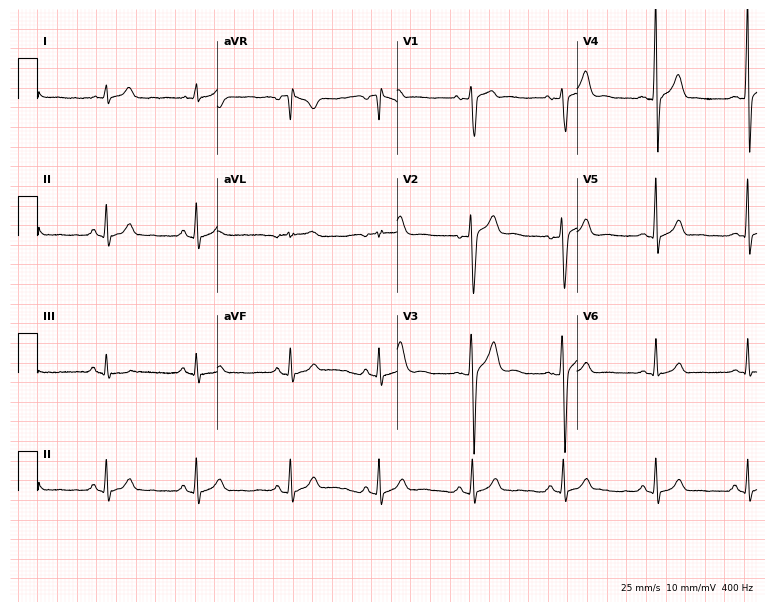
12-lead ECG from a male patient, 20 years old. Recorded interpretation: within normal limits.